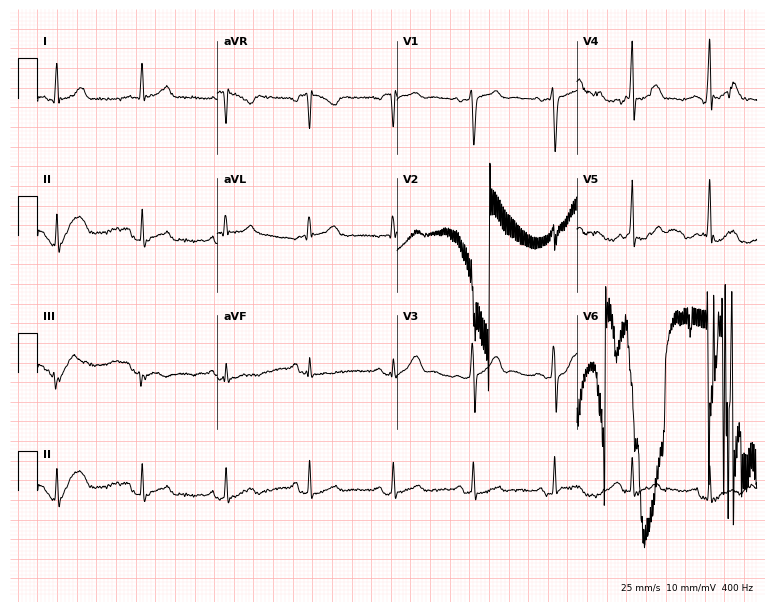
Electrocardiogram (7.3-second recording at 400 Hz), a 22-year-old male patient. Overall reading on record: normal ECG.